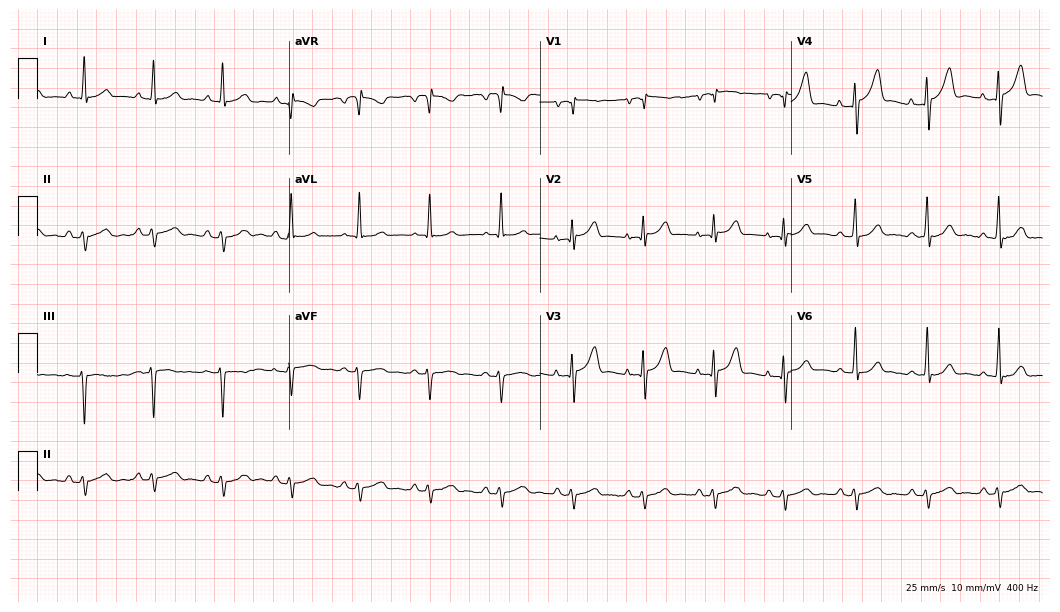
ECG — a male patient, 57 years old. Screened for six findings — first-degree AV block, right bundle branch block, left bundle branch block, sinus bradycardia, atrial fibrillation, sinus tachycardia — none is recorded. Findings outside these six are not listed.